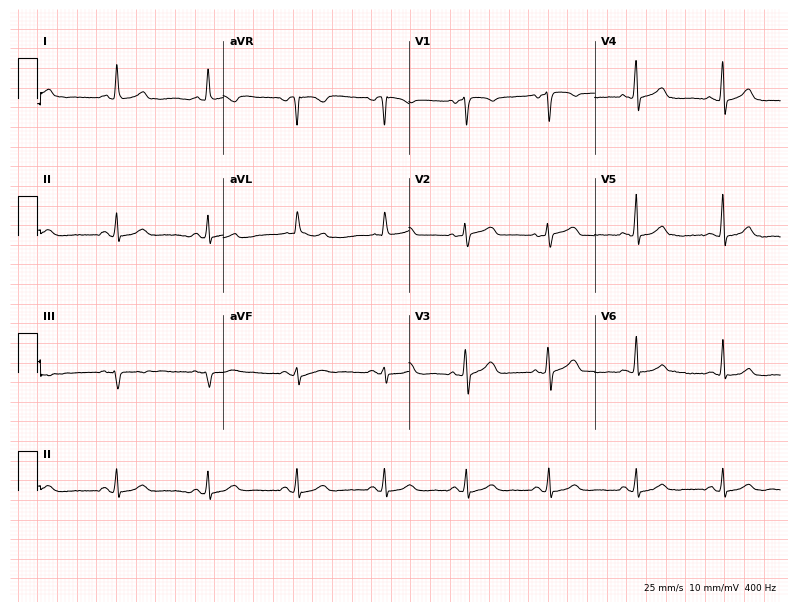
ECG (7.6-second recording at 400 Hz) — a 45-year-old female. Labelled as a normal ECG.